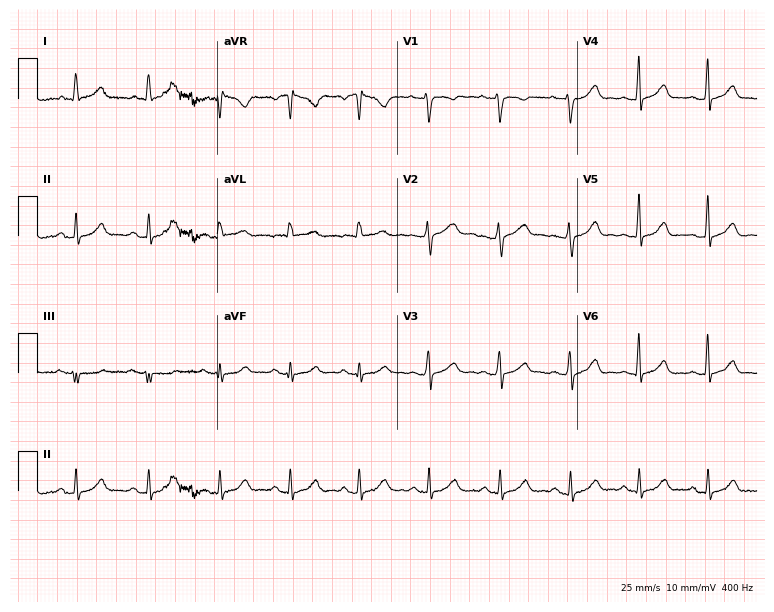
Standard 12-lead ECG recorded from a 38-year-old woman (7.3-second recording at 400 Hz). Read as a normal ECG.